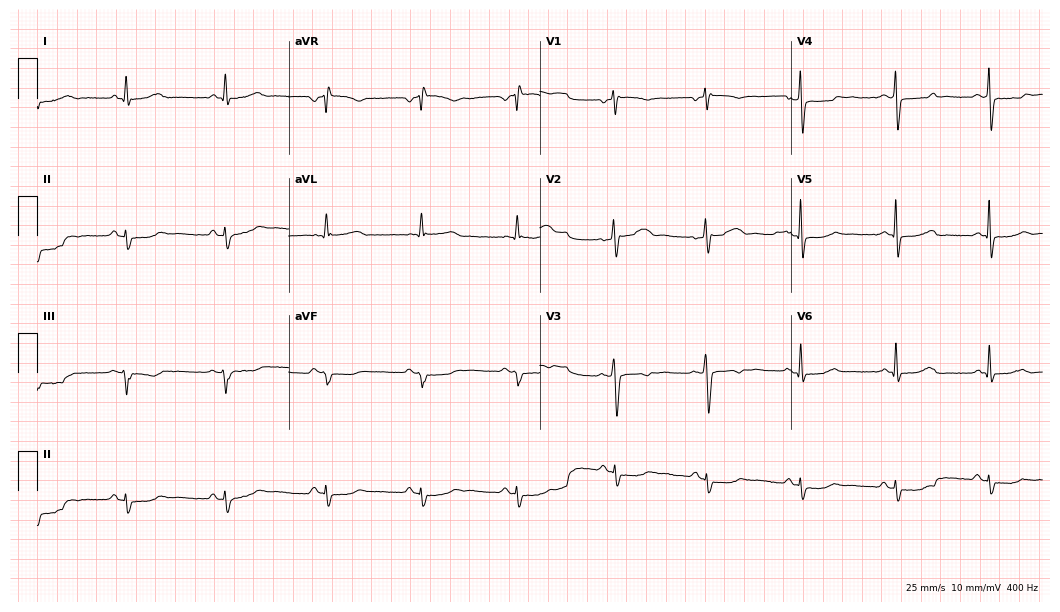
Resting 12-lead electrocardiogram (10.2-second recording at 400 Hz). Patient: a 69-year-old woman. None of these six findings is recorded: first-degree AV block, right bundle branch block (RBBB), left bundle branch block (LBBB), sinus bradycardia, atrial fibrillation (AF), sinus tachycardia.